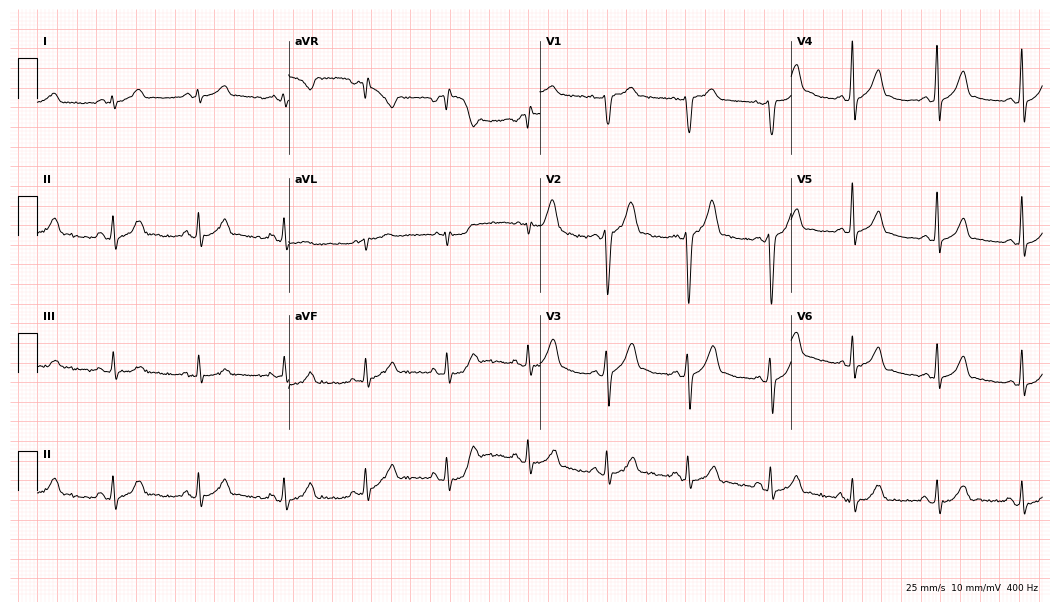
Standard 12-lead ECG recorded from a man, 27 years old. None of these six findings is recorded: first-degree AV block, right bundle branch block (RBBB), left bundle branch block (LBBB), sinus bradycardia, atrial fibrillation (AF), sinus tachycardia. Only these six findings were labelled.